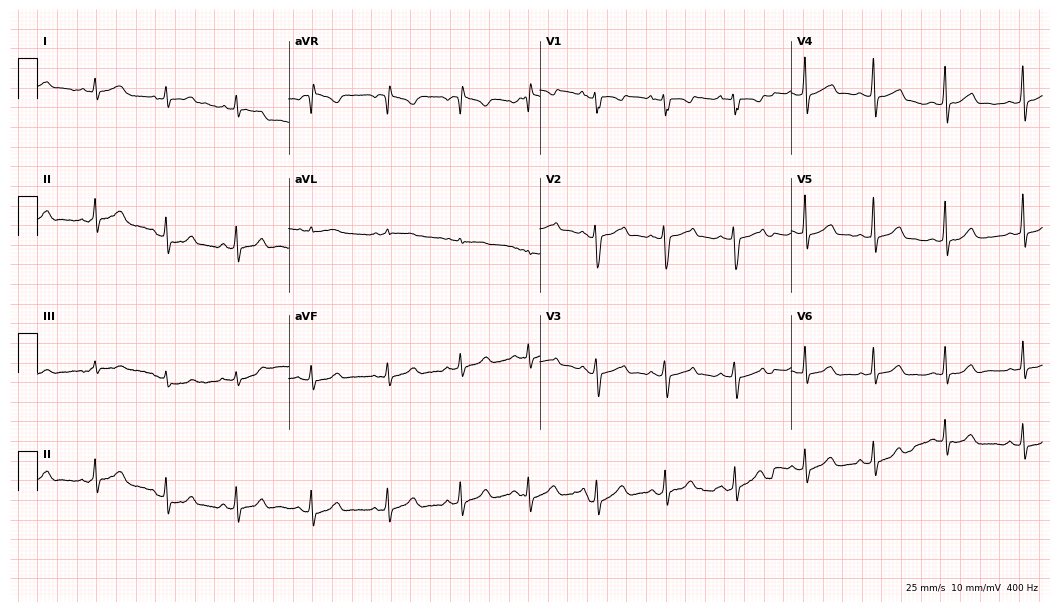
Standard 12-lead ECG recorded from a 34-year-old woman. None of these six findings is recorded: first-degree AV block, right bundle branch block, left bundle branch block, sinus bradycardia, atrial fibrillation, sinus tachycardia.